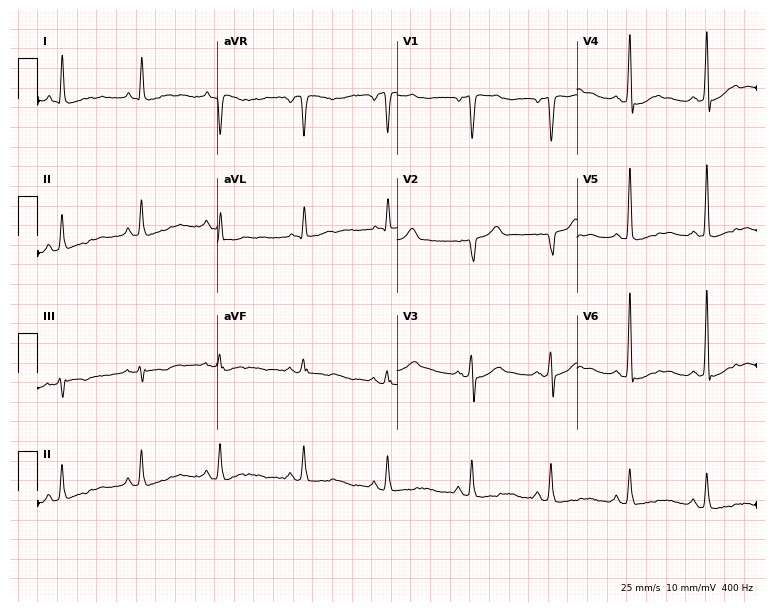
ECG (7.3-second recording at 400 Hz) — a man, 43 years old. Screened for six findings — first-degree AV block, right bundle branch block (RBBB), left bundle branch block (LBBB), sinus bradycardia, atrial fibrillation (AF), sinus tachycardia — none is recorded. Only these six findings were labelled.